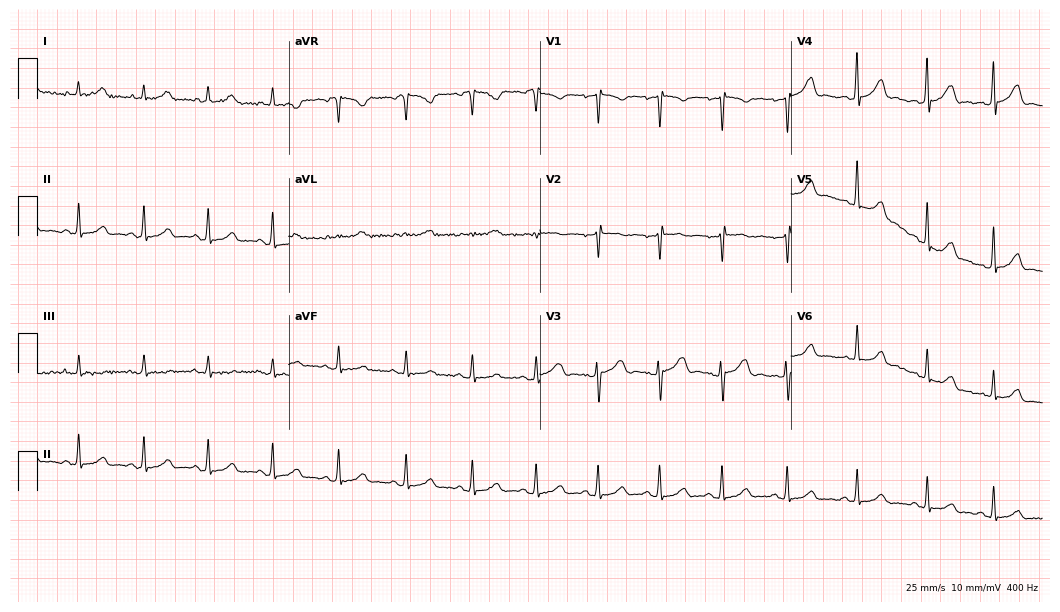
12-lead ECG from a woman, 27 years old (10.2-second recording at 400 Hz). No first-degree AV block, right bundle branch block, left bundle branch block, sinus bradycardia, atrial fibrillation or sinus tachycardia recorded for this tracing. Other findings, if any, are not listed.